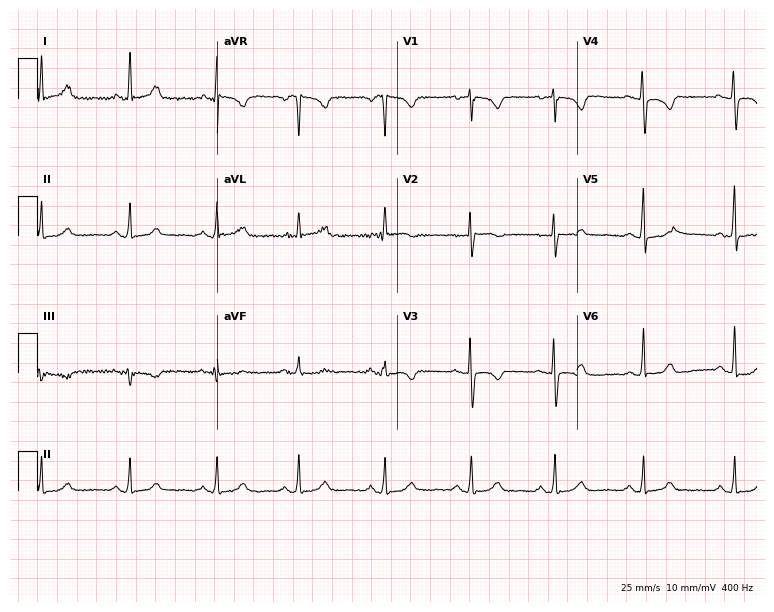
12-lead ECG from a 49-year-old female patient (7.3-second recording at 400 Hz). No first-degree AV block, right bundle branch block (RBBB), left bundle branch block (LBBB), sinus bradycardia, atrial fibrillation (AF) or sinus tachycardia recorded for this tracing.